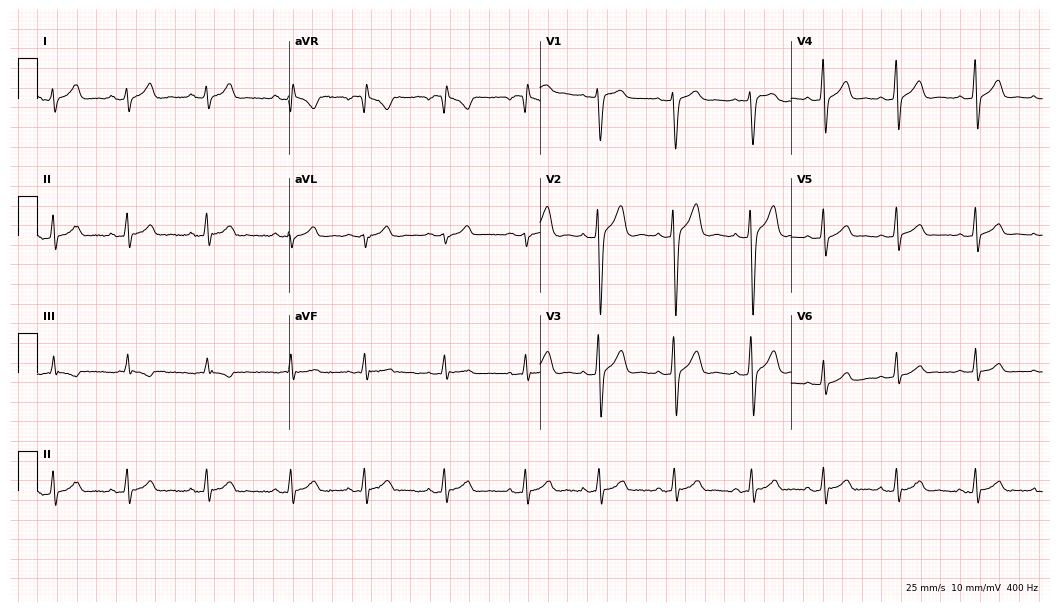
12-lead ECG from a 21-year-old male patient. Recorded interpretation: within normal limits.